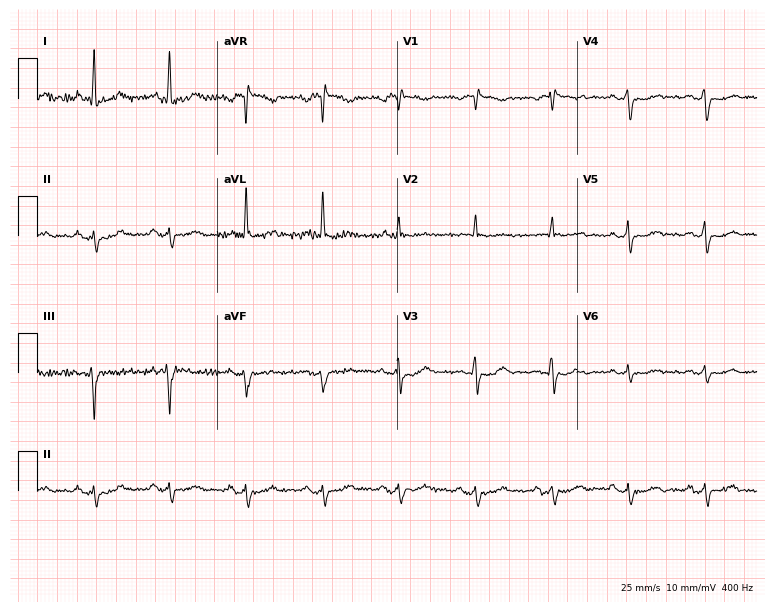
ECG — a 59-year-old woman. Screened for six findings — first-degree AV block, right bundle branch block, left bundle branch block, sinus bradycardia, atrial fibrillation, sinus tachycardia — none is recorded.